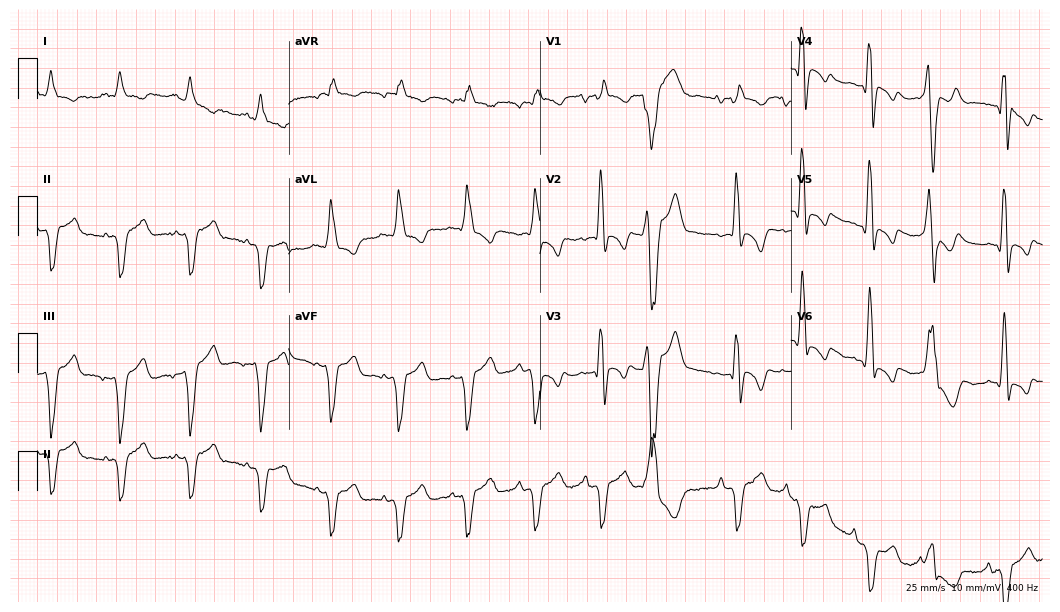
Electrocardiogram, a man, 38 years old. Of the six screened findings (first-degree AV block, right bundle branch block, left bundle branch block, sinus bradycardia, atrial fibrillation, sinus tachycardia), none is recorded. Only these six findings were labelled.